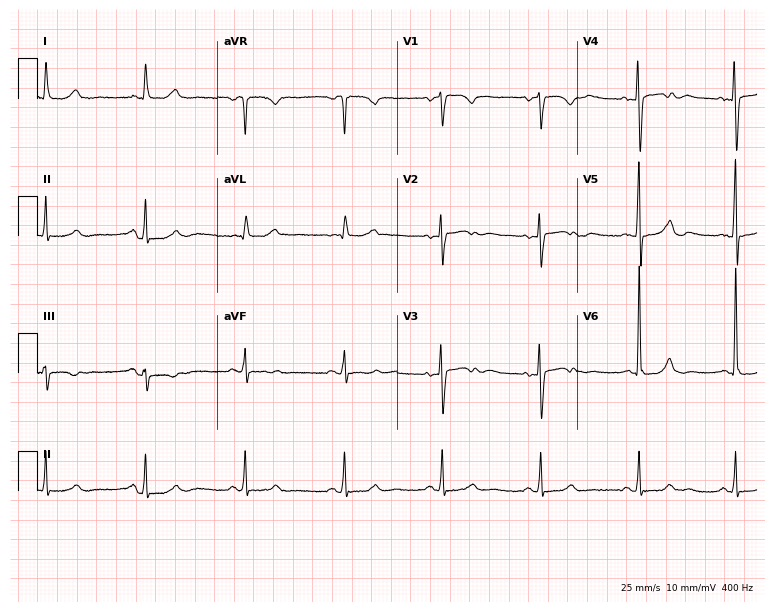
Electrocardiogram, a woman, 62 years old. Of the six screened findings (first-degree AV block, right bundle branch block (RBBB), left bundle branch block (LBBB), sinus bradycardia, atrial fibrillation (AF), sinus tachycardia), none is recorded. Findings outside these six are not listed.